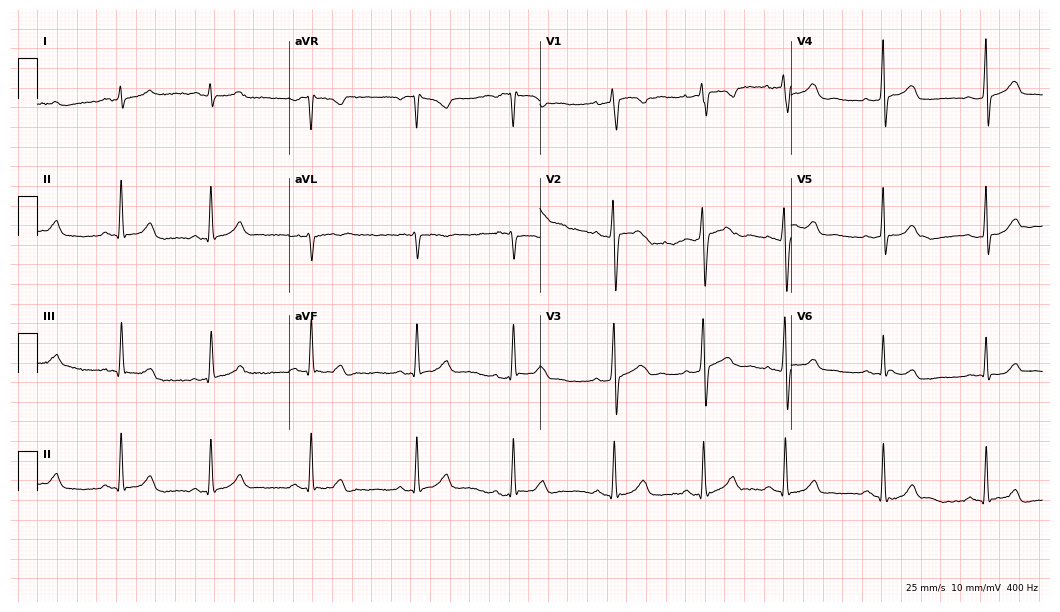
12-lead ECG (10.2-second recording at 400 Hz) from a 24-year-old female patient. Screened for six findings — first-degree AV block, right bundle branch block, left bundle branch block, sinus bradycardia, atrial fibrillation, sinus tachycardia — none is recorded.